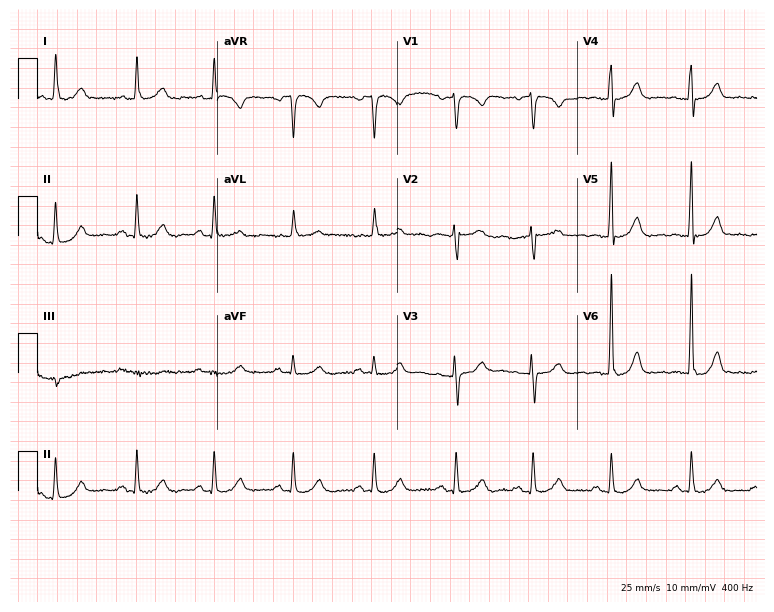
Standard 12-lead ECG recorded from an 84-year-old woman. Read as a normal ECG.